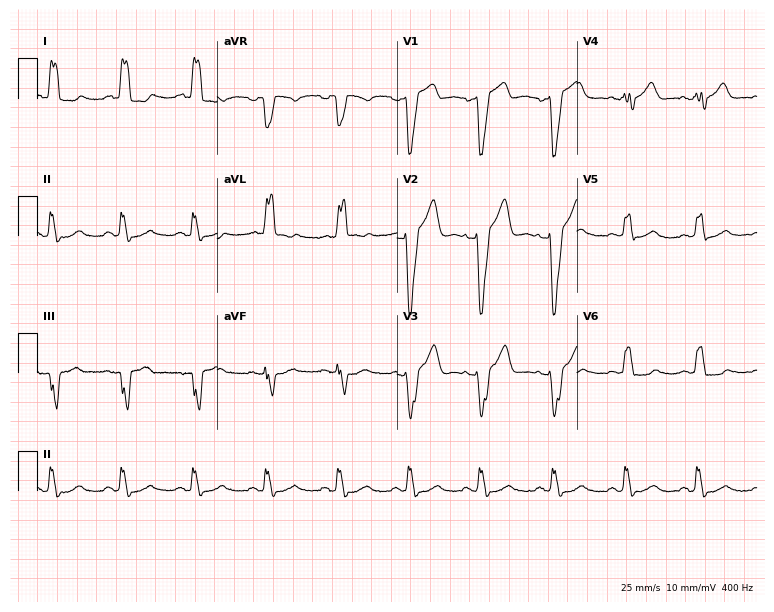
Electrocardiogram (7.3-second recording at 400 Hz), a female patient, 42 years old. Interpretation includes left bundle branch block.